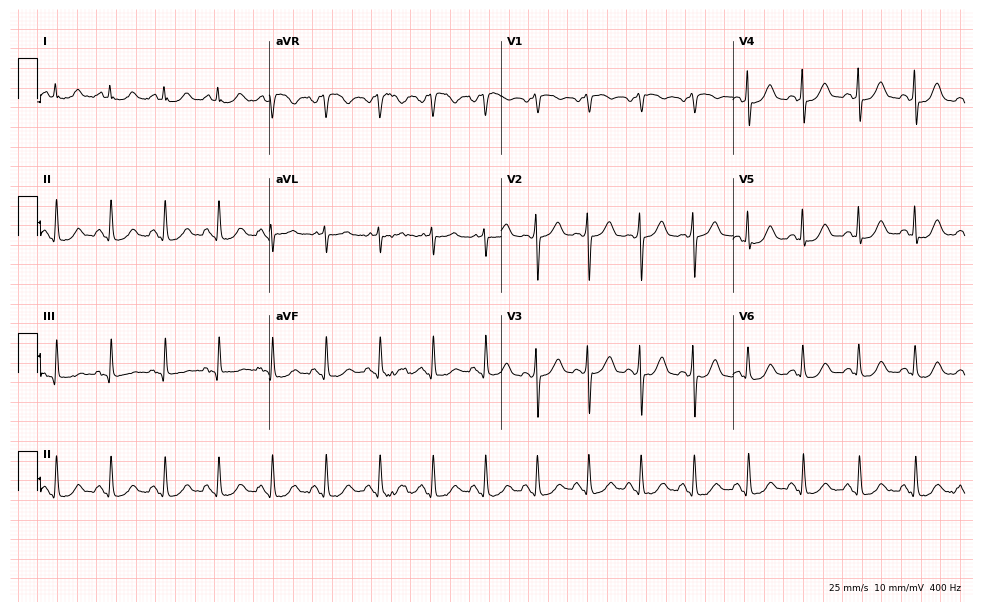
Resting 12-lead electrocardiogram (9.5-second recording at 400 Hz). Patient: a man, 57 years old. The tracing shows sinus tachycardia (a sinus rate of 100 beats per minute or more).